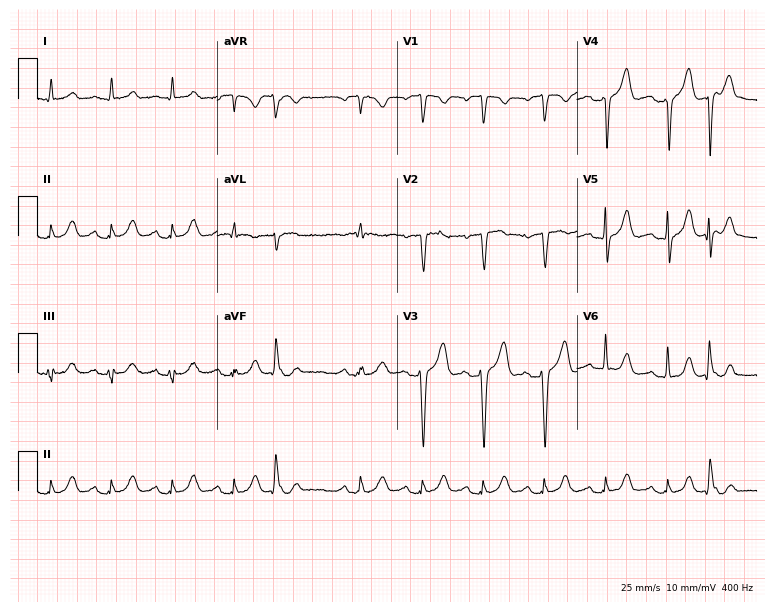
12-lead ECG from a 76-year-old man. Screened for six findings — first-degree AV block, right bundle branch block (RBBB), left bundle branch block (LBBB), sinus bradycardia, atrial fibrillation (AF), sinus tachycardia — none is recorded.